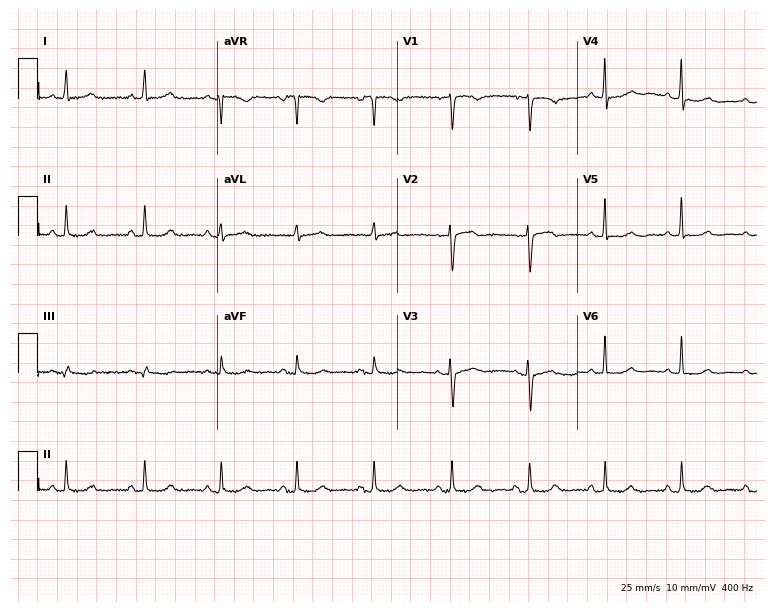
12-lead ECG from a 66-year-old female patient (7.3-second recording at 400 Hz). Recorded interpretation: within normal limits.